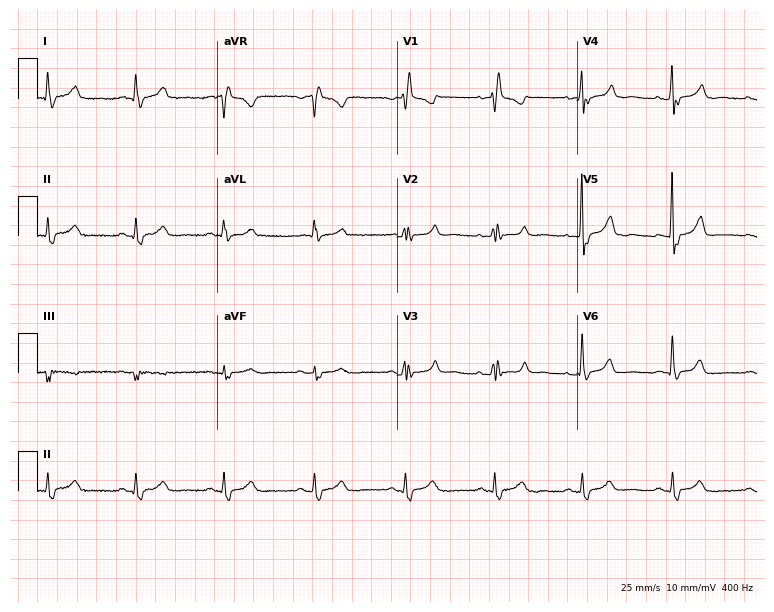
Resting 12-lead electrocardiogram (7.3-second recording at 400 Hz). Patient: a female, 81 years old. The tracing shows right bundle branch block (RBBB).